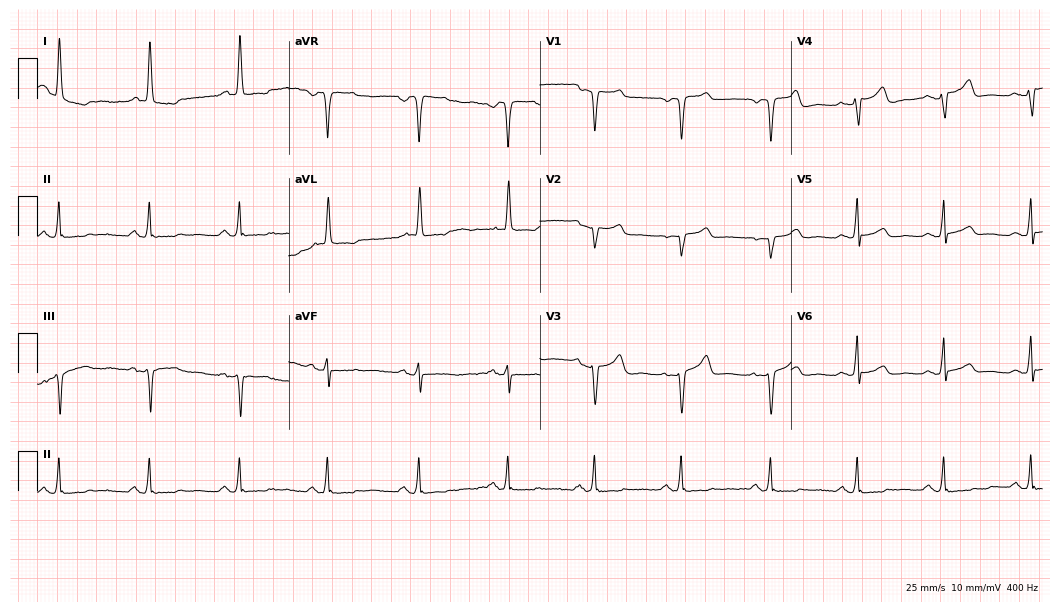
Resting 12-lead electrocardiogram (10.2-second recording at 400 Hz). Patient: a female, 58 years old. Read as a normal ECG.